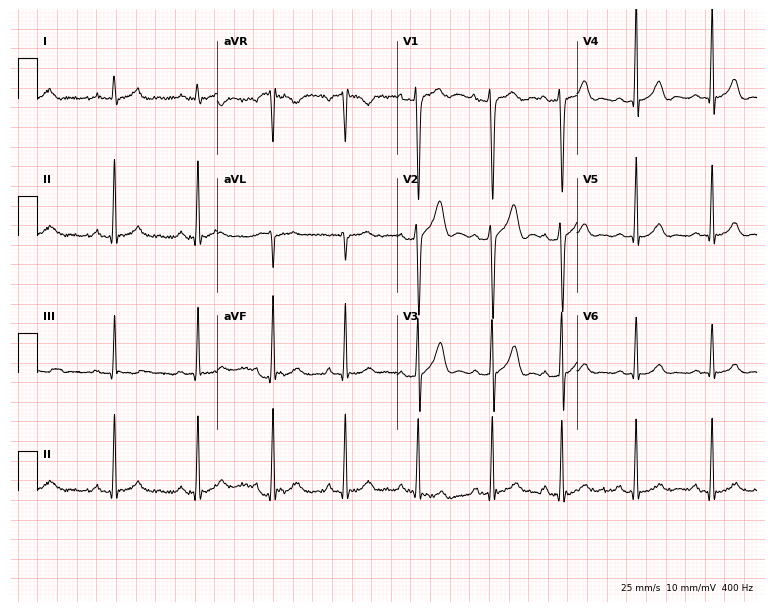
Standard 12-lead ECG recorded from a male, 18 years old. None of these six findings is recorded: first-degree AV block, right bundle branch block, left bundle branch block, sinus bradycardia, atrial fibrillation, sinus tachycardia.